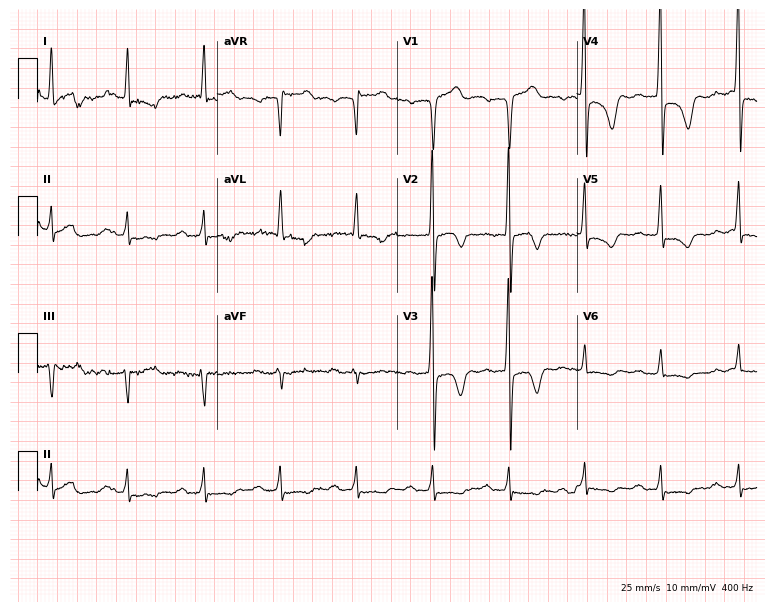
Electrocardiogram, a male, 79 years old. Interpretation includes first-degree AV block.